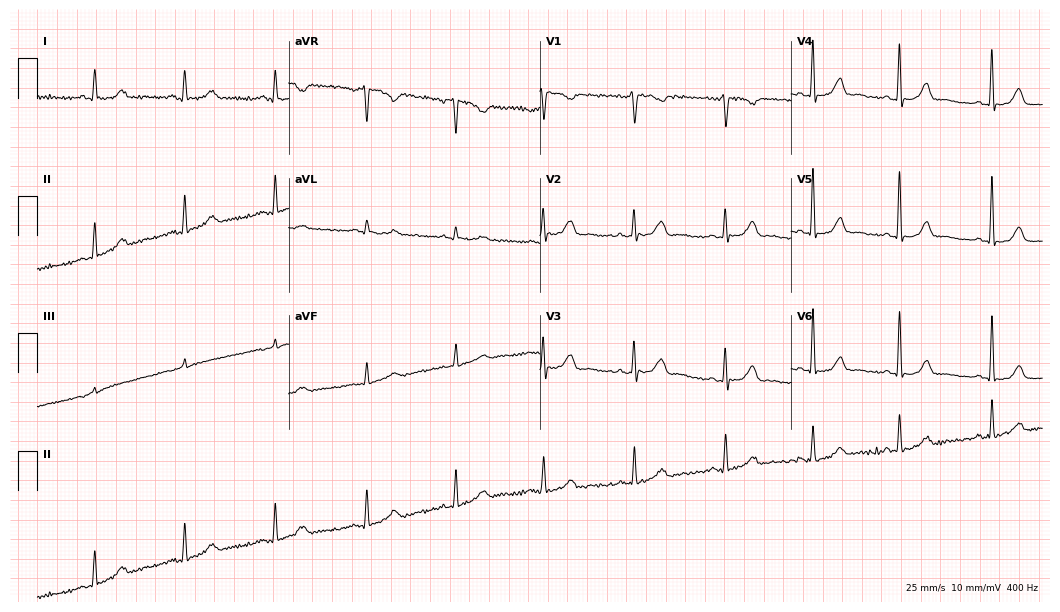
12-lead ECG from a 55-year-old woman (10.2-second recording at 400 Hz). No first-degree AV block, right bundle branch block (RBBB), left bundle branch block (LBBB), sinus bradycardia, atrial fibrillation (AF) or sinus tachycardia recorded for this tracing. Only these six findings were labelled.